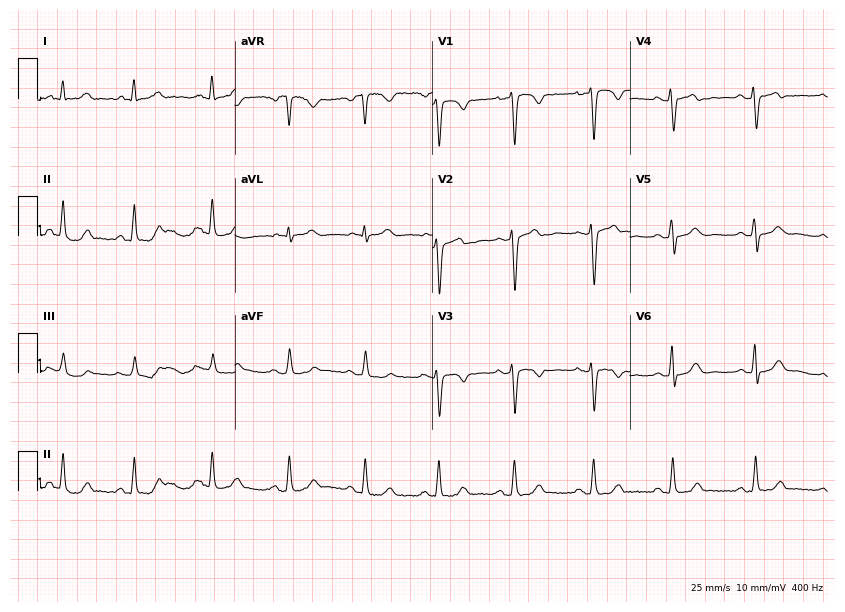
Standard 12-lead ECG recorded from a 43-year-old woman (8.1-second recording at 400 Hz). Read as a normal ECG.